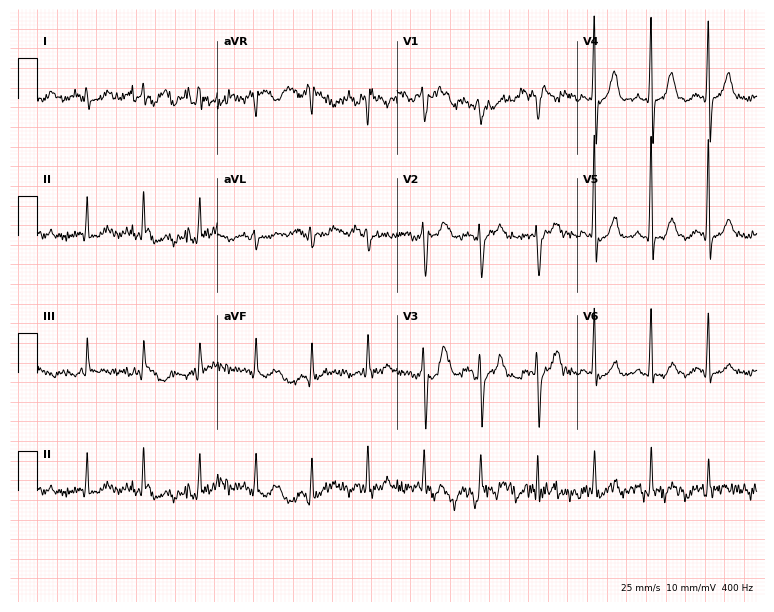
Standard 12-lead ECG recorded from a man, 84 years old (7.3-second recording at 400 Hz). None of these six findings is recorded: first-degree AV block, right bundle branch block (RBBB), left bundle branch block (LBBB), sinus bradycardia, atrial fibrillation (AF), sinus tachycardia.